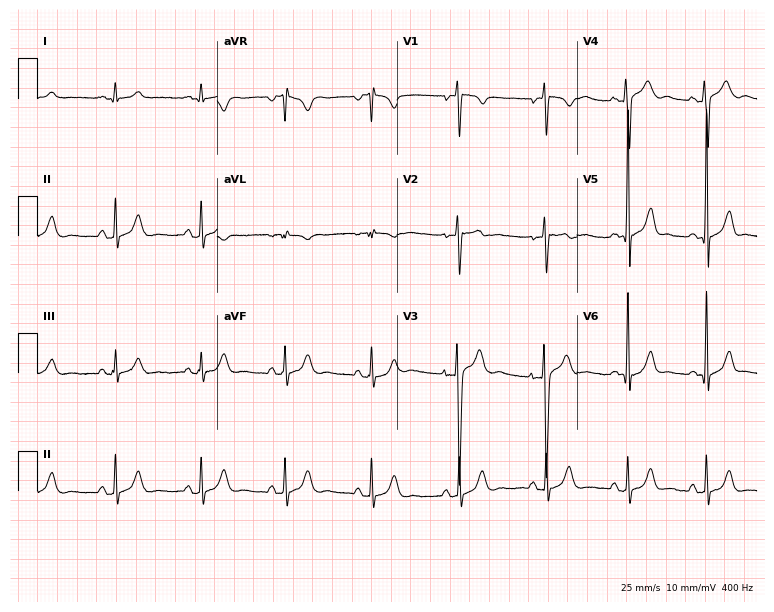
Electrocardiogram (7.3-second recording at 400 Hz), a 17-year-old male patient. Overall reading on record: normal ECG.